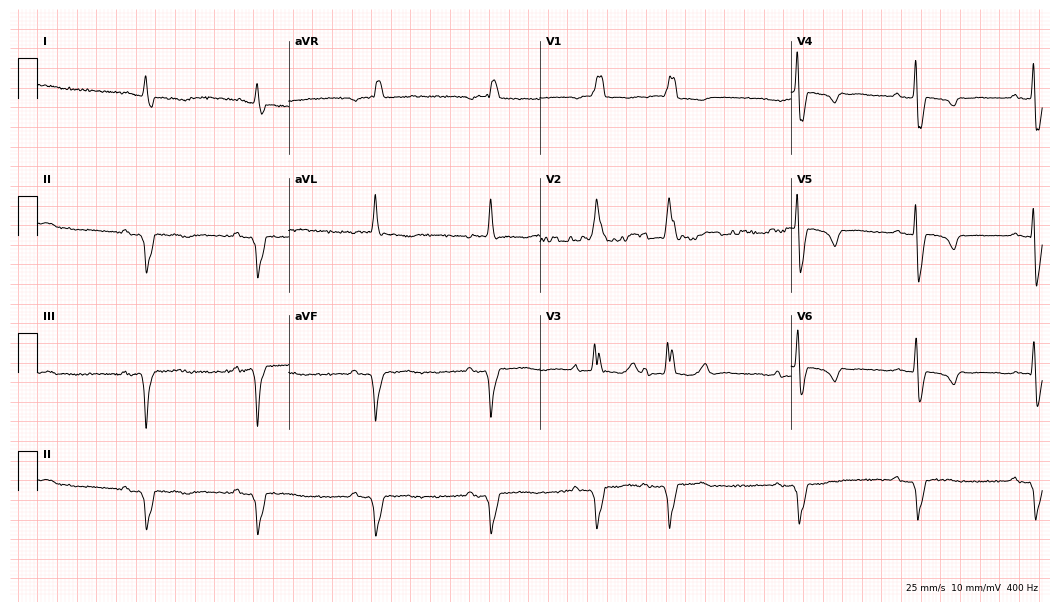
Electrocardiogram, an 84-year-old male. Of the six screened findings (first-degree AV block, right bundle branch block, left bundle branch block, sinus bradycardia, atrial fibrillation, sinus tachycardia), none is recorded.